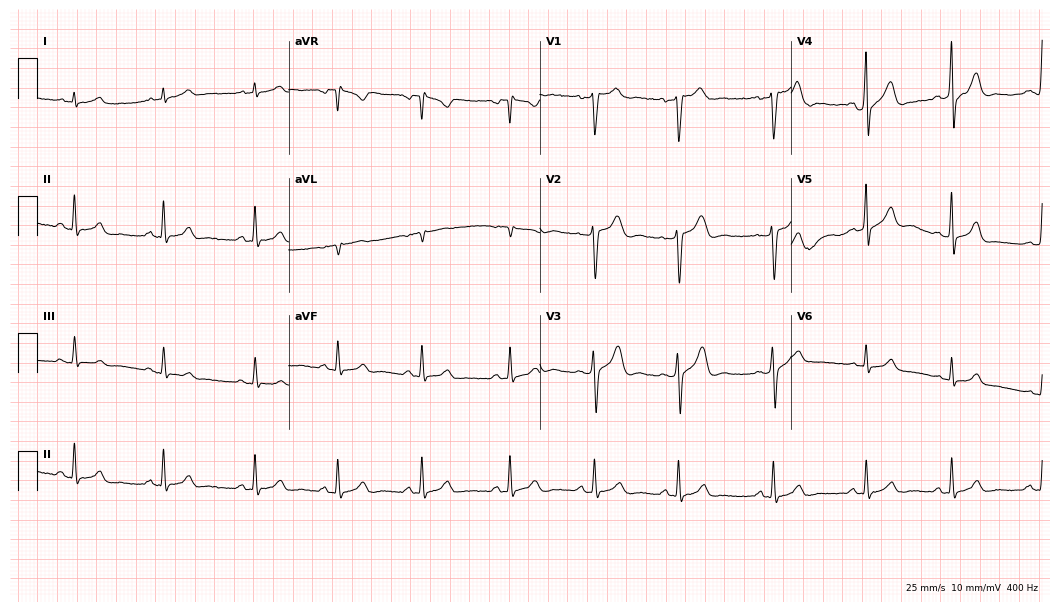
Resting 12-lead electrocardiogram. Patient: a 24-year-old male. Read as a normal ECG.